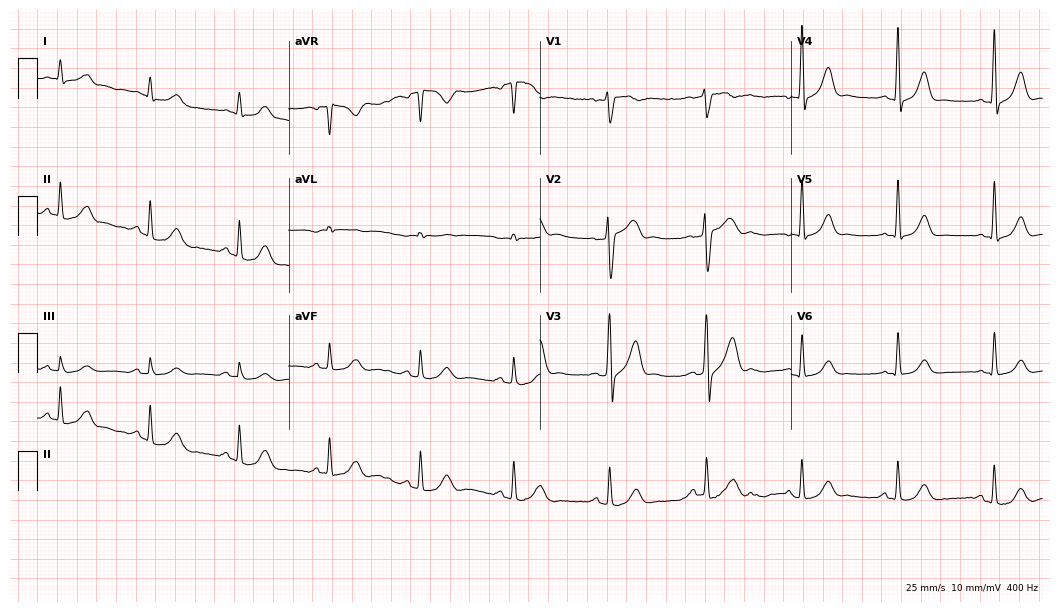
12-lead ECG from a male, 48 years old. Labelled as a normal ECG.